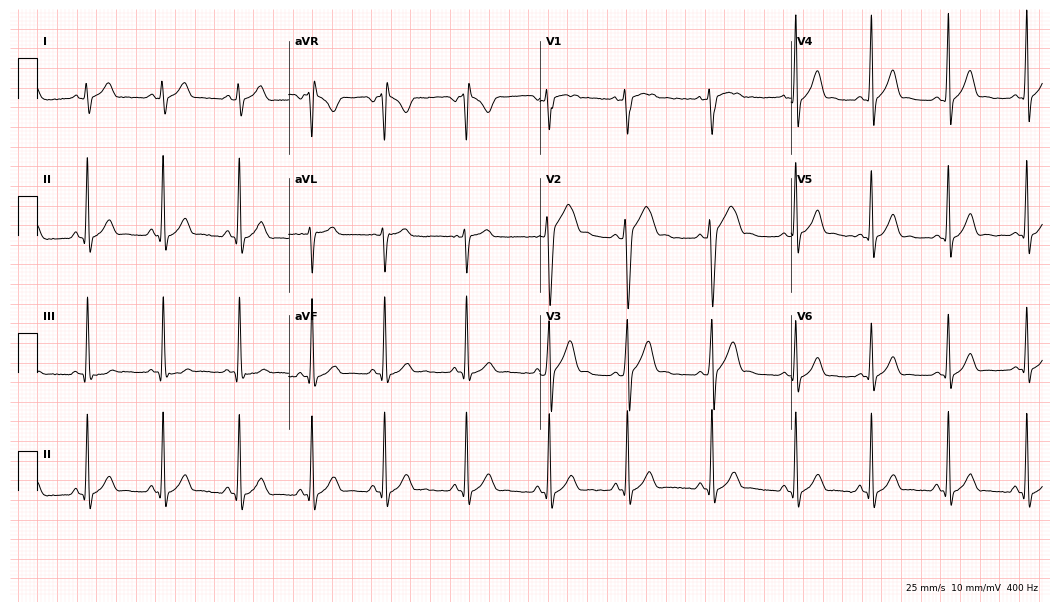
12-lead ECG (10.2-second recording at 400 Hz) from a 17-year-old male patient. Labelled as a normal ECG.